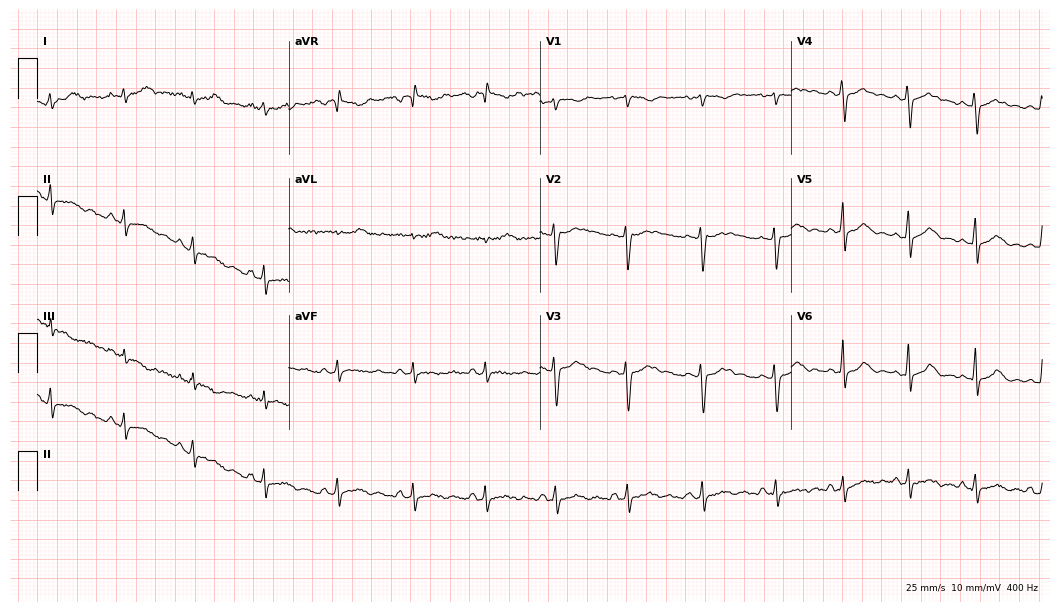
Standard 12-lead ECG recorded from a female patient, 27 years old. None of these six findings is recorded: first-degree AV block, right bundle branch block, left bundle branch block, sinus bradycardia, atrial fibrillation, sinus tachycardia.